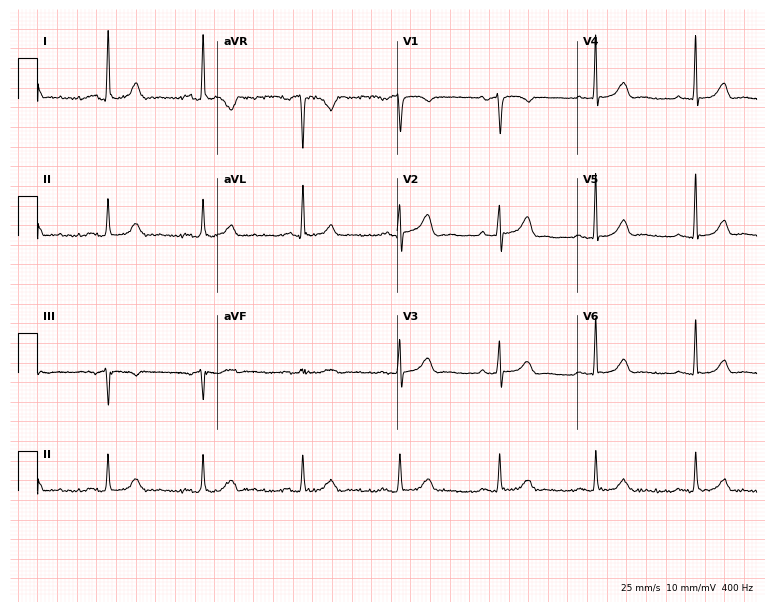
Standard 12-lead ECG recorded from a woman, 69 years old (7.3-second recording at 400 Hz). None of these six findings is recorded: first-degree AV block, right bundle branch block, left bundle branch block, sinus bradycardia, atrial fibrillation, sinus tachycardia.